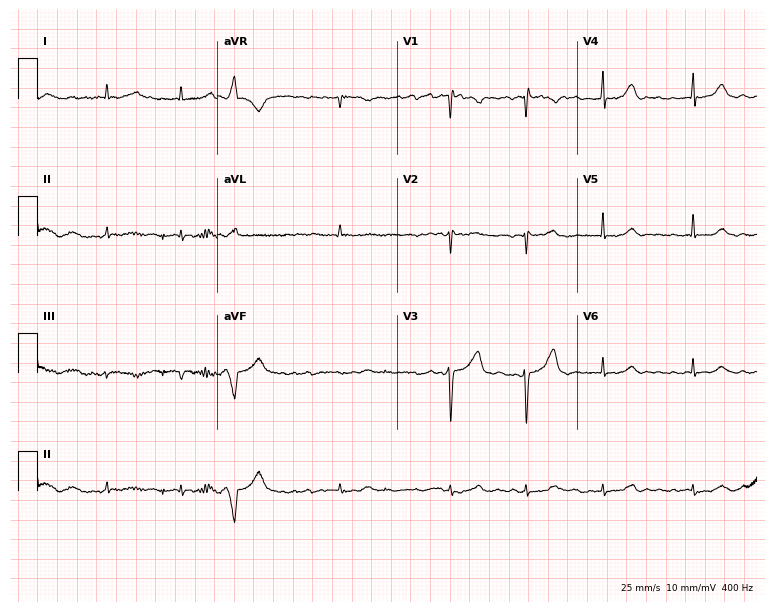
12-lead ECG from a female patient, 75 years old. Findings include atrial fibrillation.